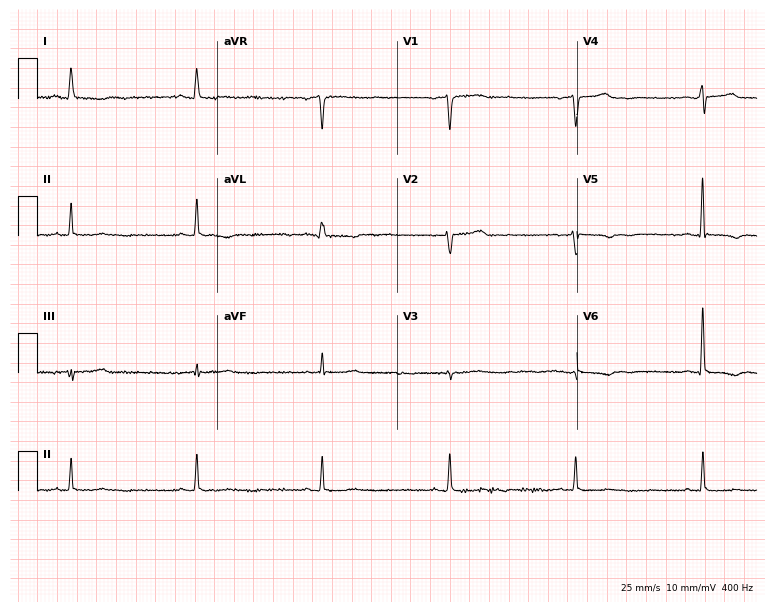
12-lead ECG from a female patient, 61 years old. Screened for six findings — first-degree AV block, right bundle branch block (RBBB), left bundle branch block (LBBB), sinus bradycardia, atrial fibrillation (AF), sinus tachycardia — none is recorded.